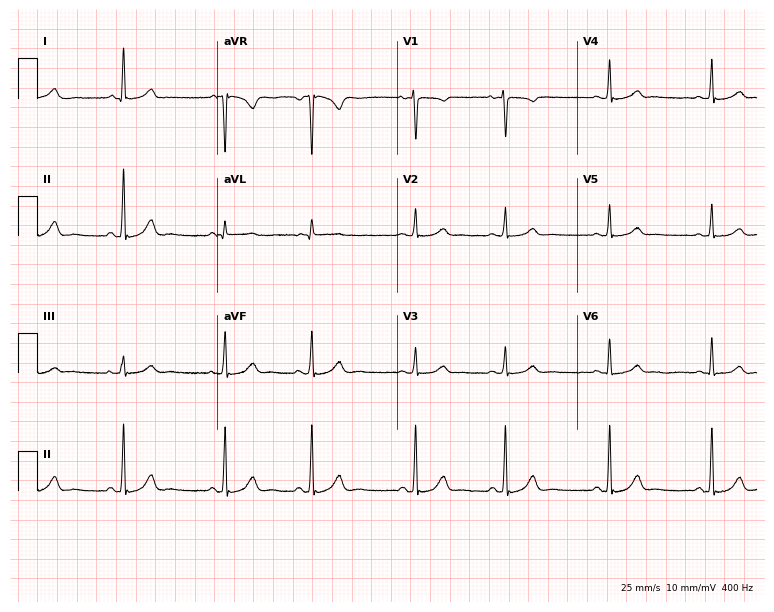
ECG — a female, 28 years old. Labelled as a normal ECG.